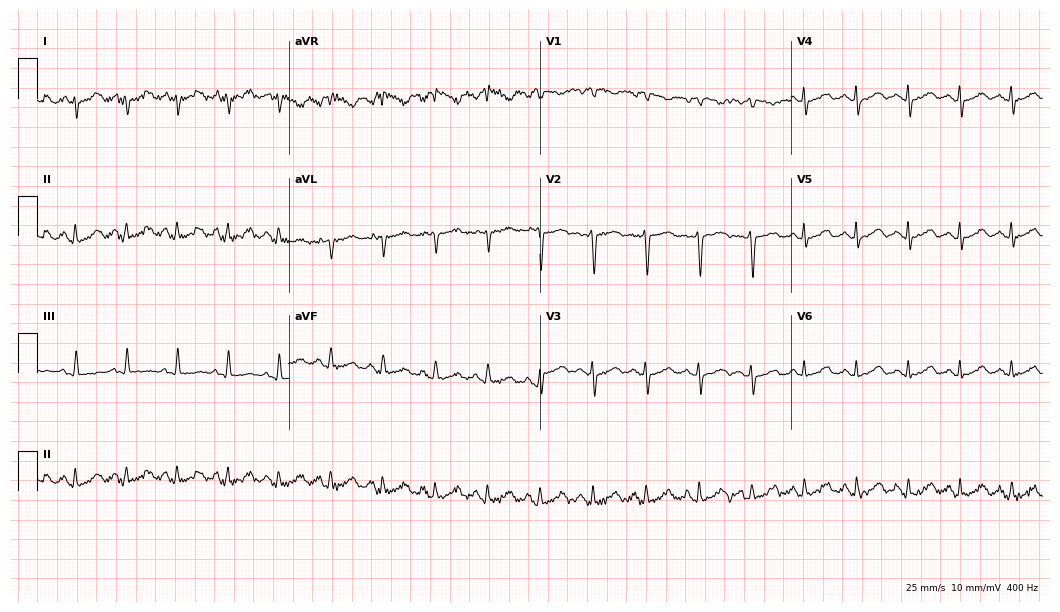
12-lead ECG (10.2-second recording at 400 Hz) from a female patient, 35 years old. Screened for six findings — first-degree AV block, right bundle branch block, left bundle branch block, sinus bradycardia, atrial fibrillation, sinus tachycardia — none is recorded. Findings outside these six are not listed.